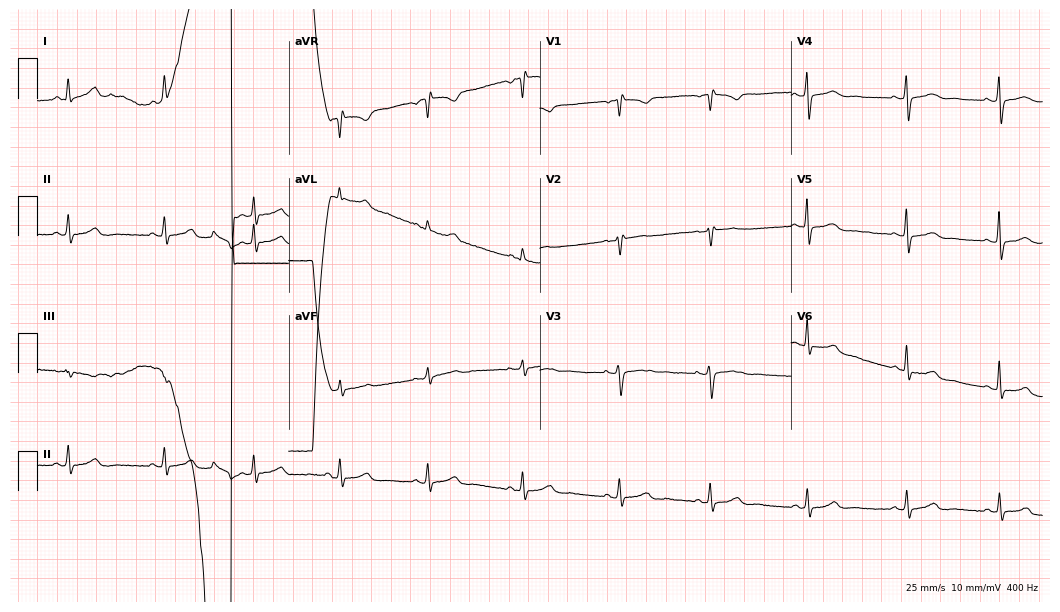
Resting 12-lead electrocardiogram (10.2-second recording at 400 Hz). Patient: a female, 51 years old. None of these six findings is recorded: first-degree AV block, right bundle branch block (RBBB), left bundle branch block (LBBB), sinus bradycardia, atrial fibrillation (AF), sinus tachycardia. Other findings, if any, are not listed.